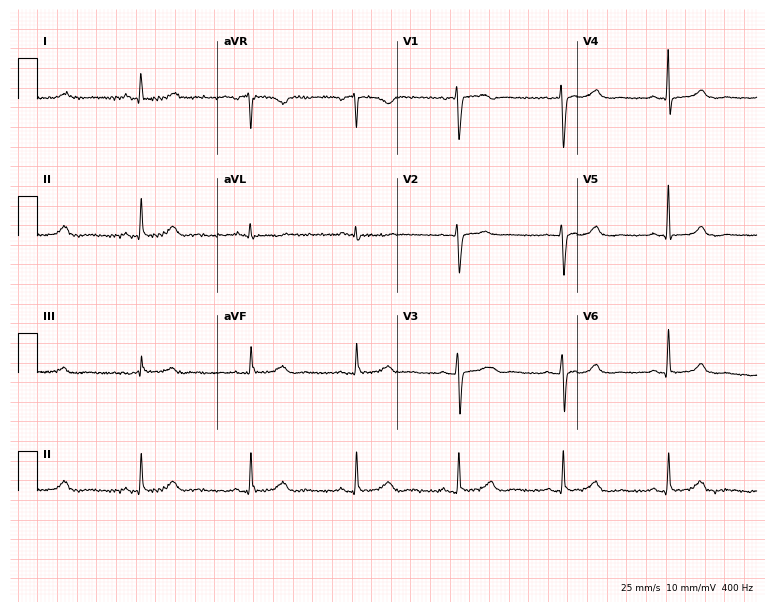
Standard 12-lead ECG recorded from a female, 53 years old (7.3-second recording at 400 Hz). Read as a normal ECG.